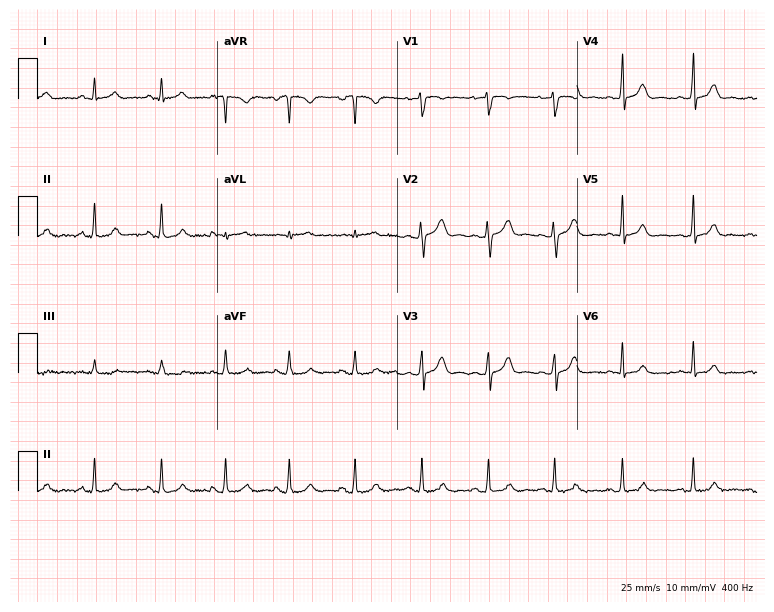
Resting 12-lead electrocardiogram (7.3-second recording at 400 Hz). Patient: a woman, 26 years old. None of these six findings is recorded: first-degree AV block, right bundle branch block, left bundle branch block, sinus bradycardia, atrial fibrillation, sinus tachycardia. Findings outside these six are not listed.